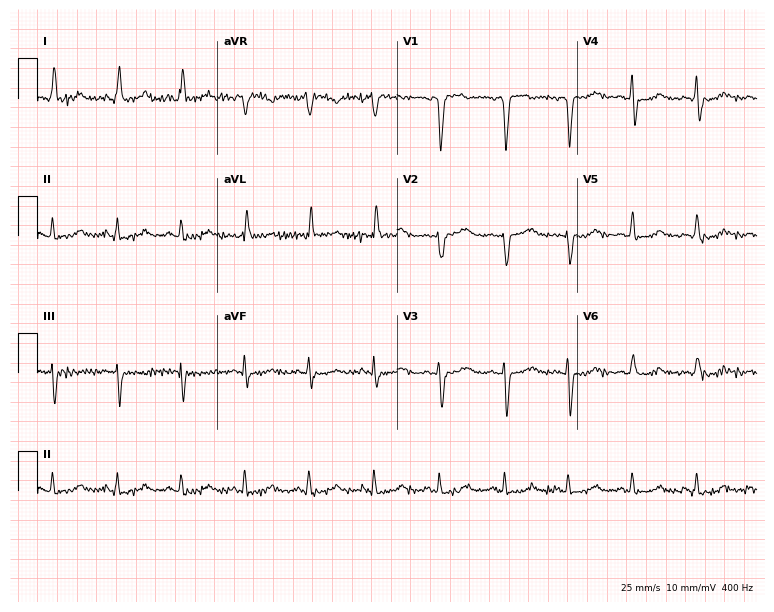
12-lead ECG from a 60-year-old female. Screened for six findings — first-degree AV block, right bundle branch block, left bundle branch block, sinus bradycardia, atrial fibrillation, sinus tachycardia — none is recorded. Other findings, if any, are not listed.